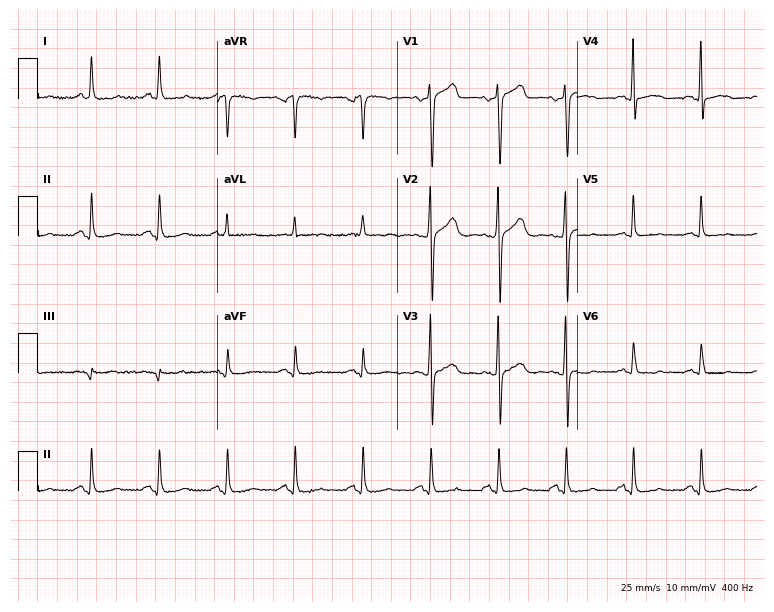
ECG (7.3-second recording at 400 Hz) — a female patient, 66 years old. Screened for six findings — first-degree AV block, right bundle branch block (RBBB), left bundle branch block (LBBB), sinus bradycardia, atrial fibrillation (AF), sinus tachycardia — none is recorded.